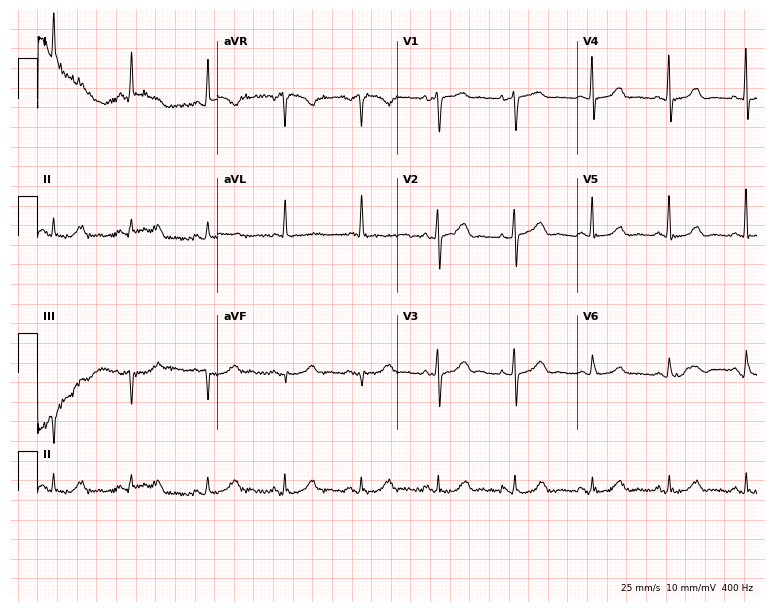
Standard 12-lead ECG recorded from a female, 70 years old (7.3-second recording at 400 Hz). Read as a normal ECG.